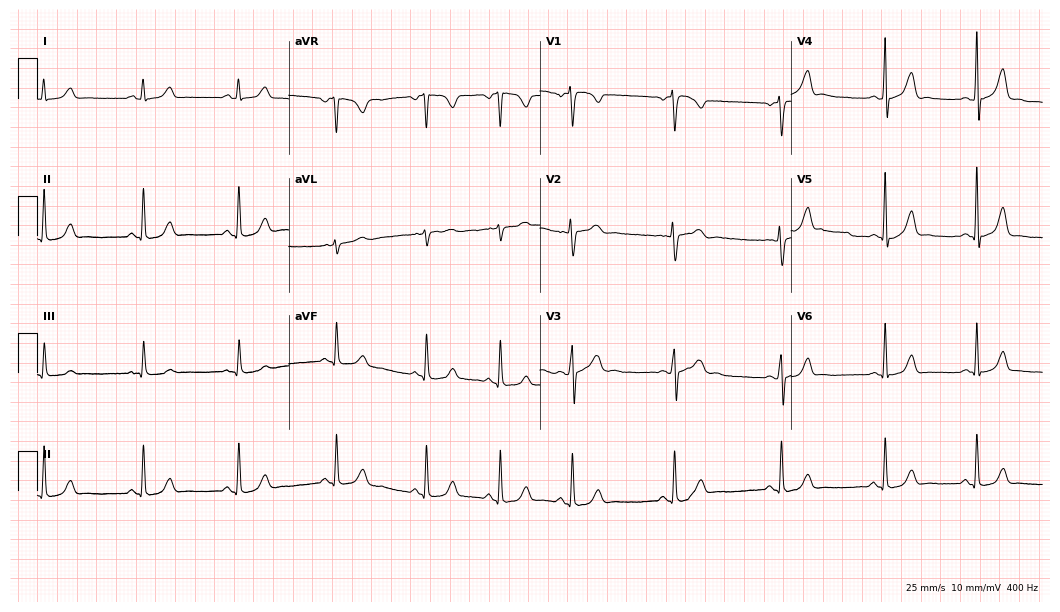
Standard 12-lead ECG recorded from a female patient, 23 years old. Read as a normal ECG.